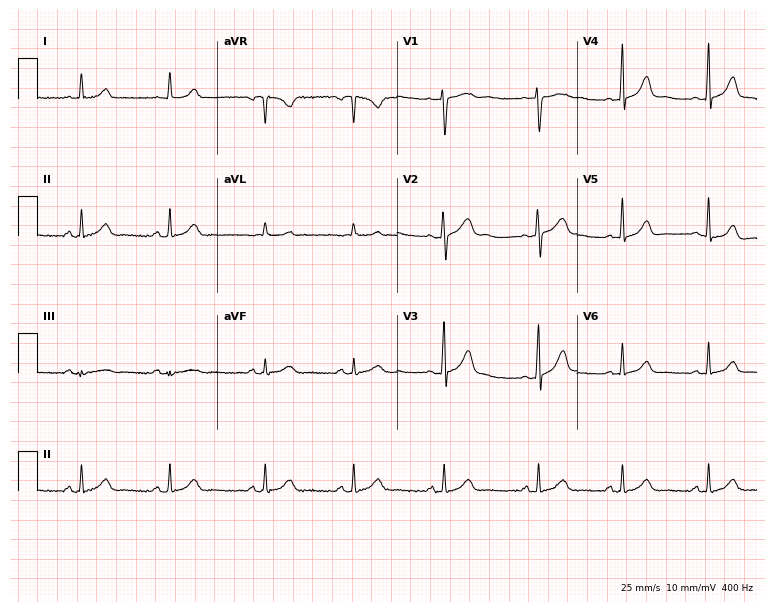
12-lead ECG from a 22-year-old woman. No first-degree AV block, right bundle branch block (RBBB), left bundle branch block (LBBB), sinus bradycardia, atrial fibrillation (AF) or sinus tachycardia recorded for this tracing.